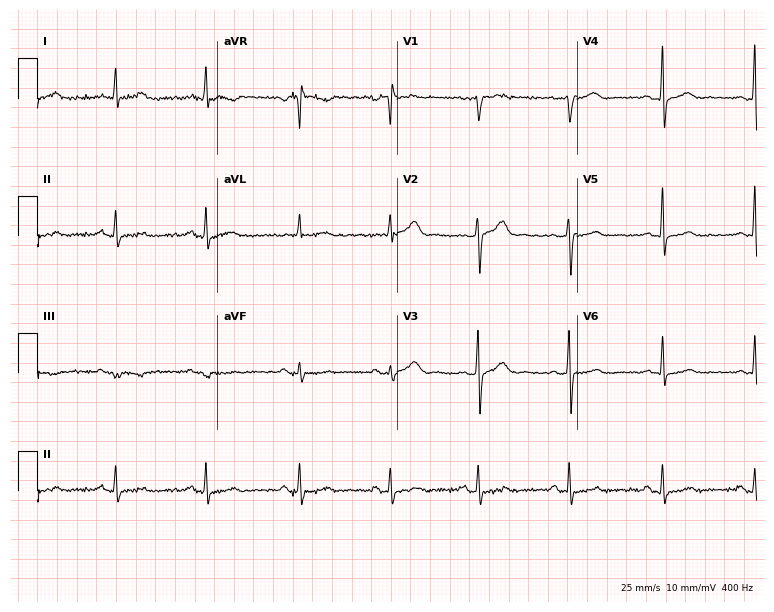
12-lead ECG (7.3-second recording at 400 Hz) from a female, 33 years old. Labelled as a normal ECG.